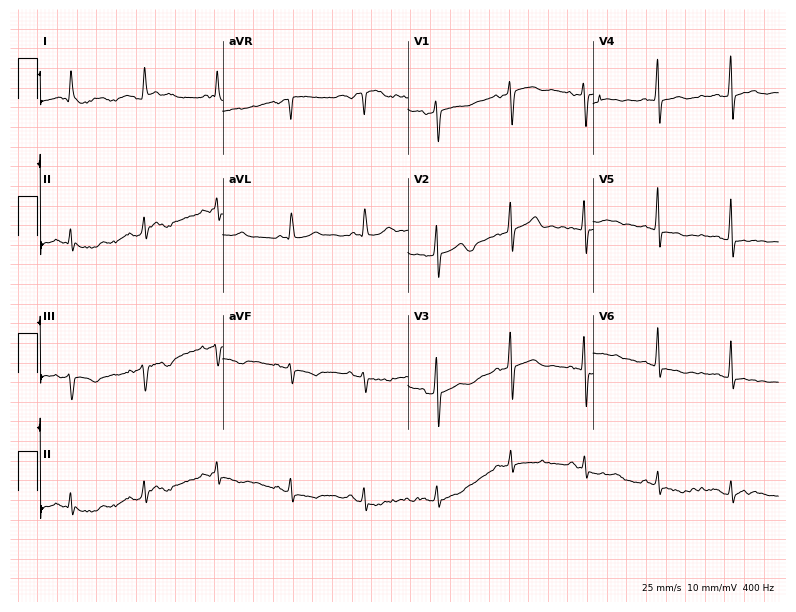
Electrocardiogram, a 68-year-old male. Of the six screened findings (first-degree AV block, right bundle branch block, left bundle branch block, sinus bradycardia, atrial fibrillation, sinus tachycardia), none is recorded. Only these six findings were labelled.